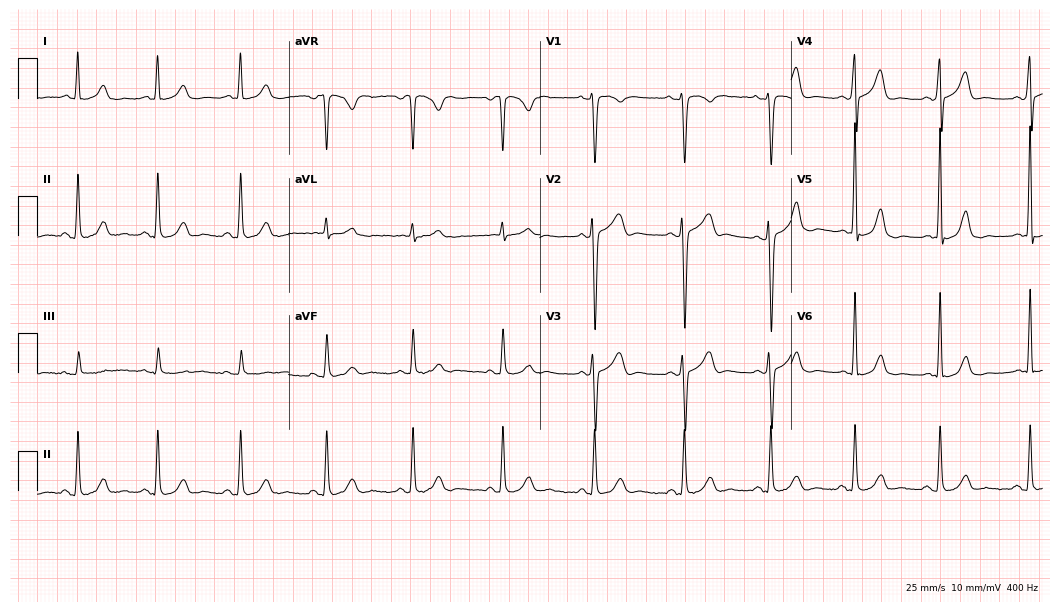
Electrocardiogram, a 35-year-old male. Overall reading on record: normal ECG.